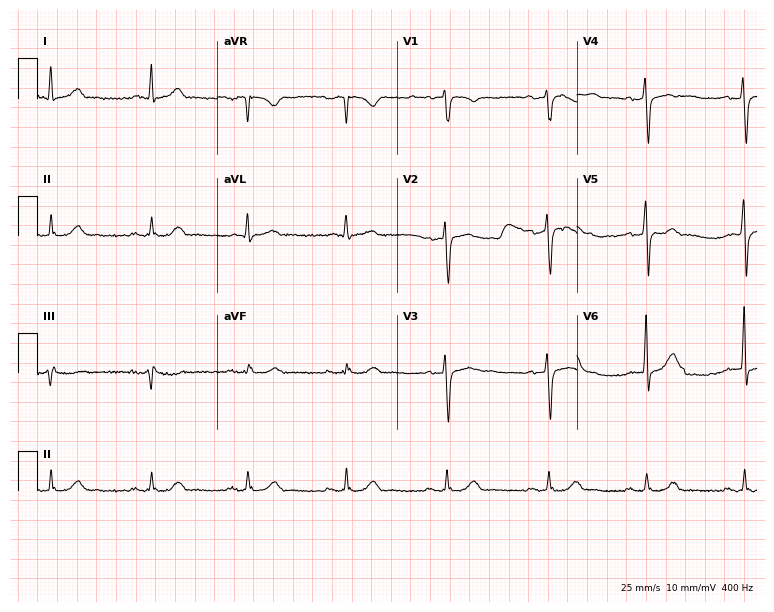
Resting 12-lead electrocardiogram (7.3-second recording at 400 Hz). Patient: a 62-year-old man. None of these six findings is recorded: first-degree AV block, right bundle branch block (RBBB), left bundle branch block (LBBB), sinus bradycardia, atrial fibrillation (AF), sinus tachycardia.